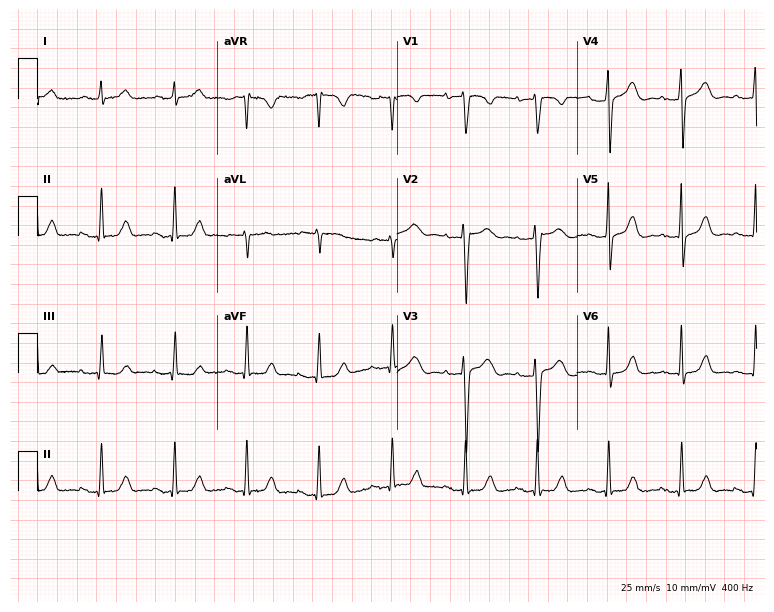
Resting 12-lead electrocardiogram. Patient: a female, 55 years old. None of these six findings is recorded: first-degree AV block, right bundle branch block (RBBB), left bundle branch block (LBBB), sinus bradycardia, atrial fibrillation (AF), sinus tachycardia. Findings outside these six are not listed.